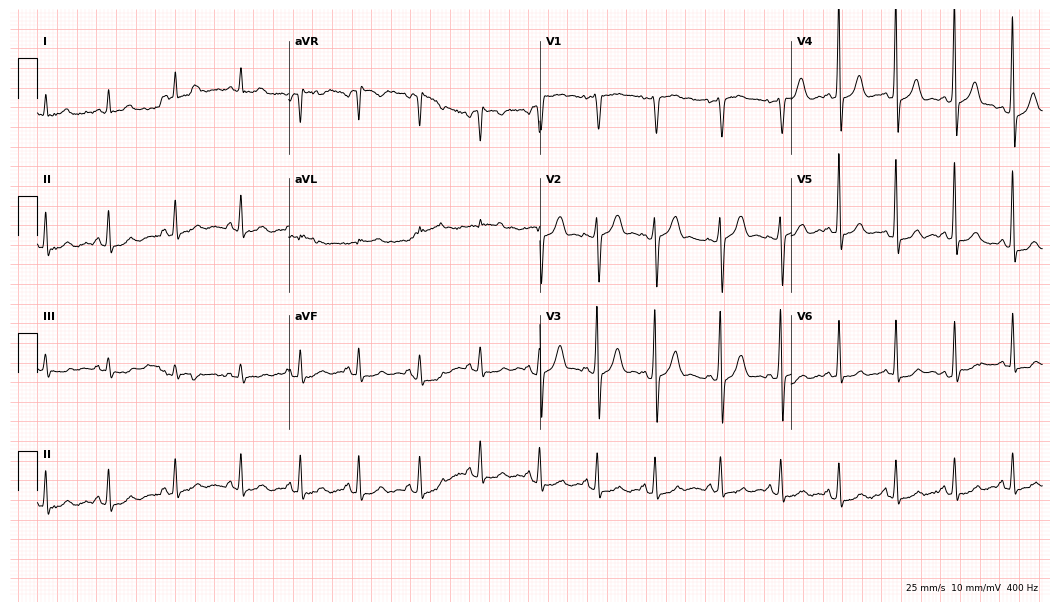
12-lead ECG from a 43-year-old man. Recorded interpretation: within normal limits.